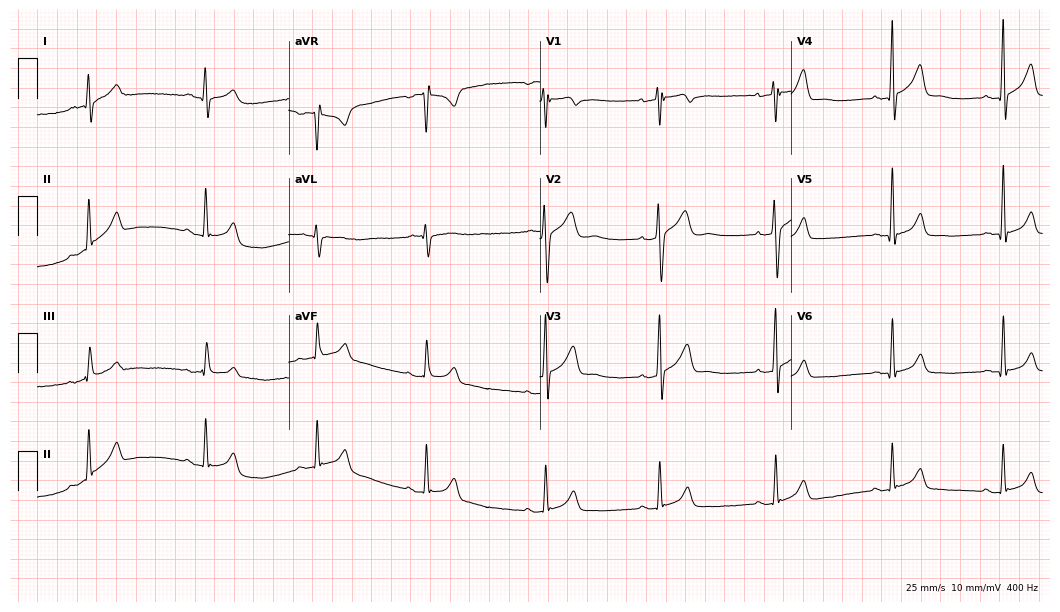
12-lead ECG from a male patient, 21 years old. No first-degree AV block, right bundle branch block (RBBB), left bundle branch block (LBBB), sinus bradycardia, atrial fibrillation (AF) or sinus tachycardia recorded for this tracing. Only these six findings were labelled.